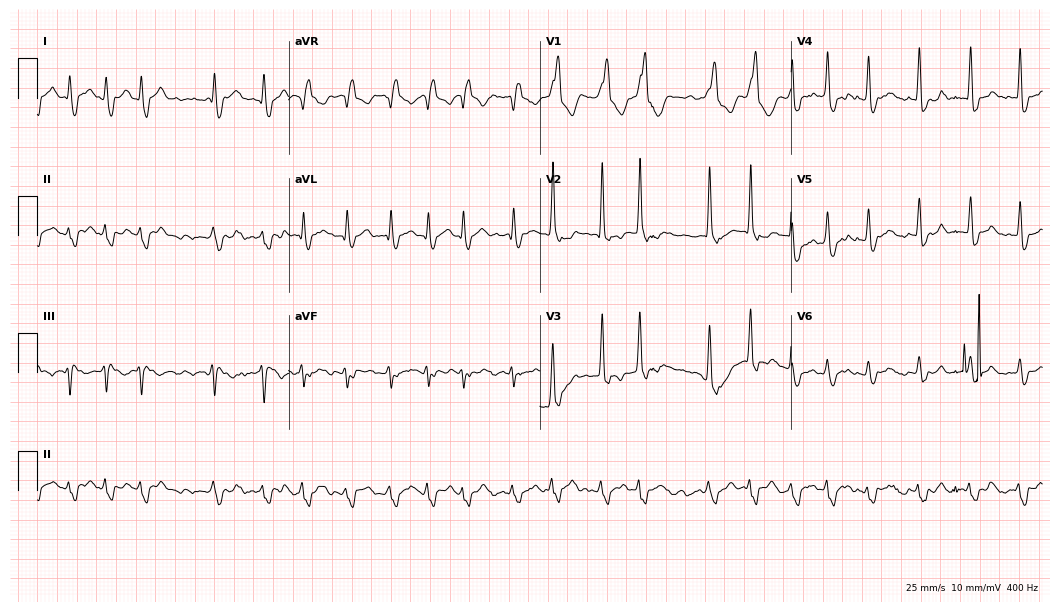
ECG — a 63-year-old man. Findings include right bundle branch block, atrial fibrillation.